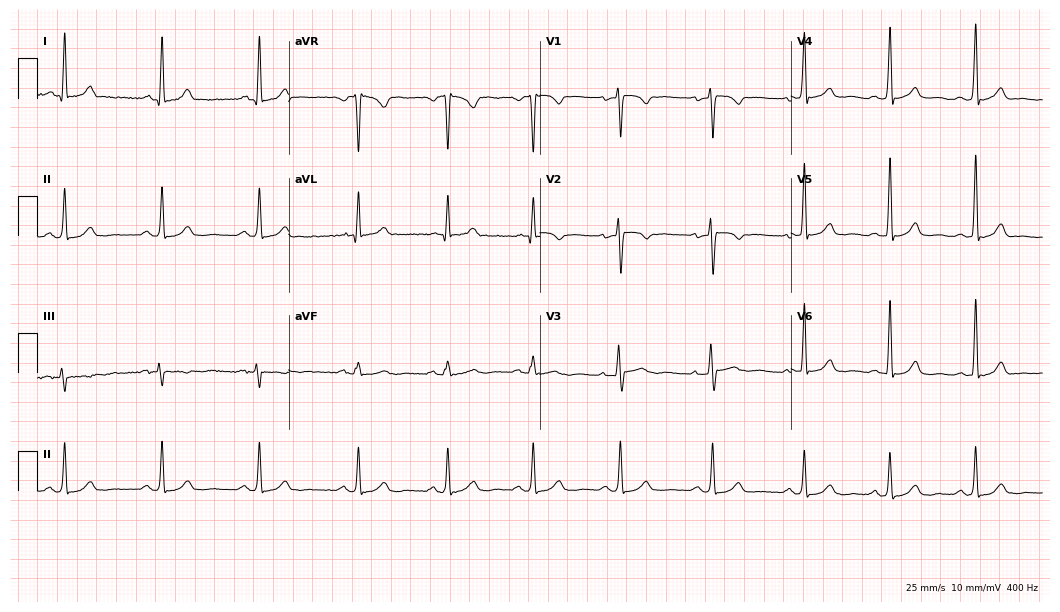
Standard 12-lead ECG recorded from a female, 34 years old (10.2-second recording at 400 Hz). Read as a normal ECG.